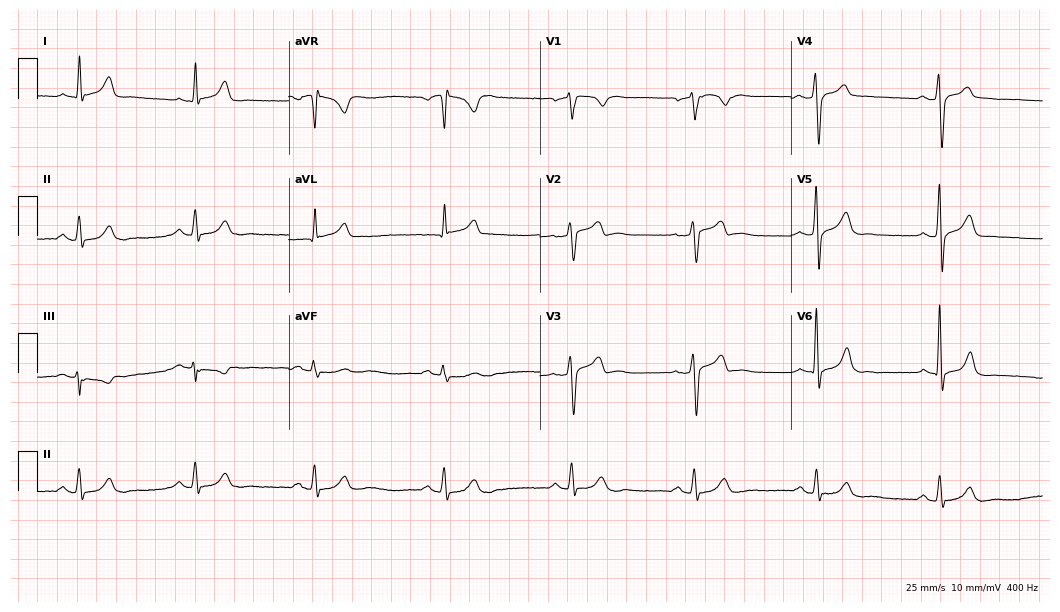
12-lead ECG from a 63-year-old male patient. Shows sinus bradycardia (a sinus rate of 50 beats per minute or less).